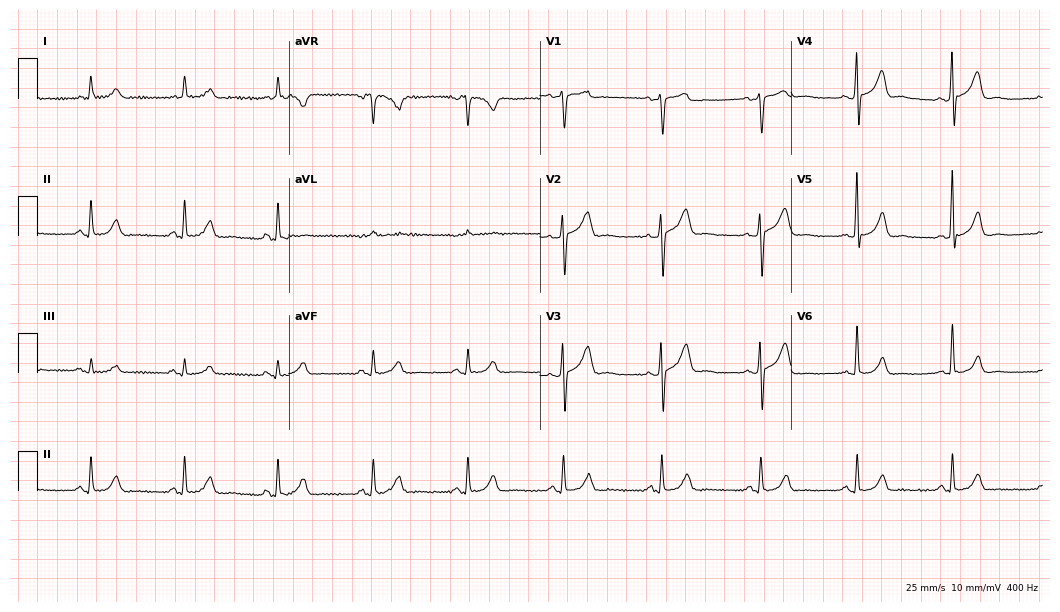
Electrocardiogram, a 57-year-old male. Overall reading on record: normal ECG.